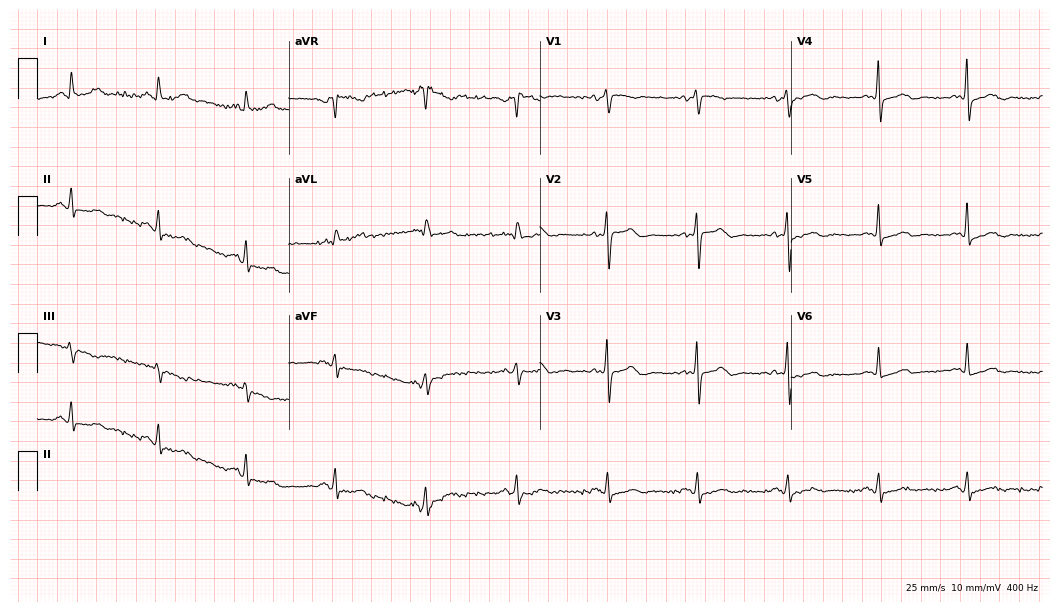
Electrocardiogram, a 71-year-old woman. Of the six screened findings (first-degree AV block, right bundle branch block (RBBB), left bundle branch block (LBBB), sinus bradycardia, atrial fibrillation (AF), sinus tachycardia), none is recorded.